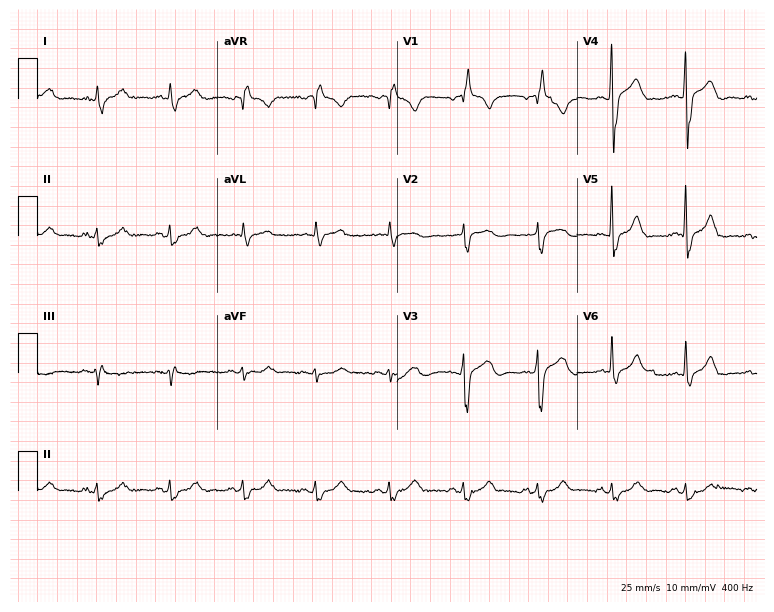
ECG (7.3-second recording at 400 Hz) — a 35-year-old male patient. Findings include right bundle branch block (RBBB).